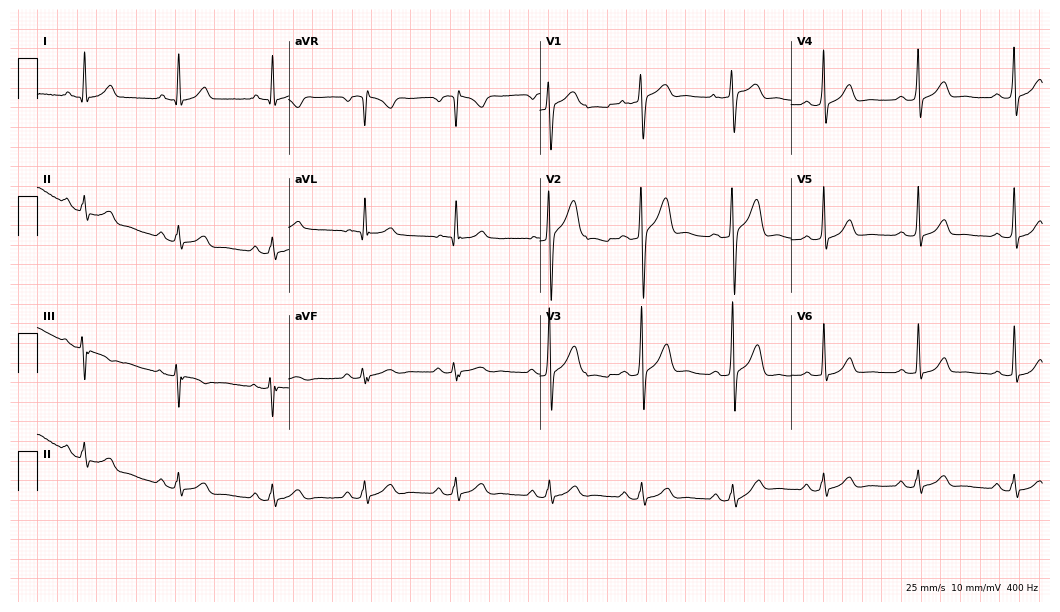
Resting 12-lead electrocardiogram. Patient: a 36-year-old male. Read as a normal ECG.